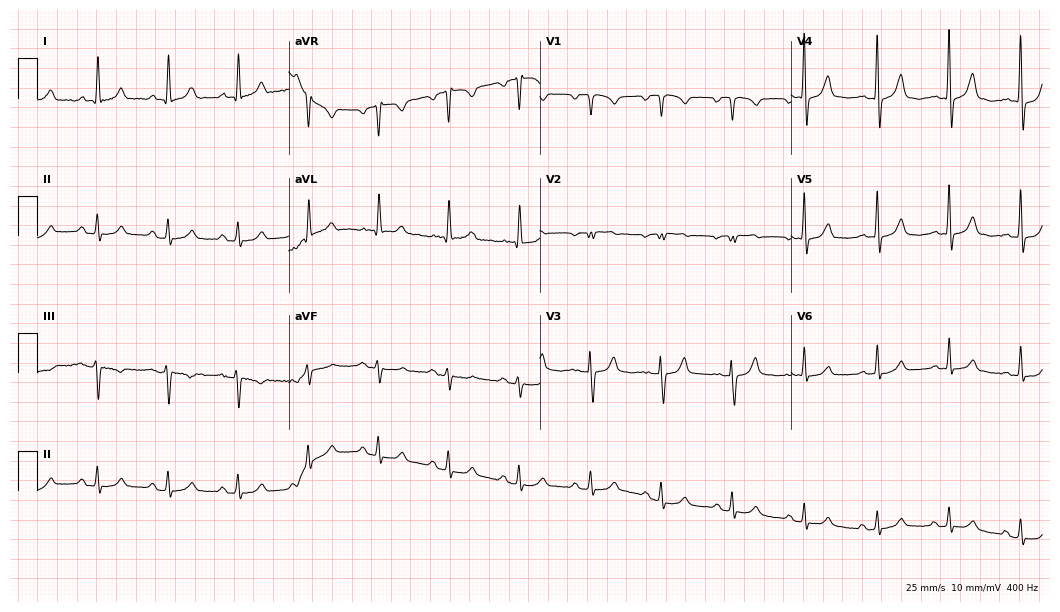
Standard 12-lead ECG recorded from a 77-year-old female patient (10.2-second recording at 400 Hz). None of these six findings is recorded: first-degree AV block, right bundle branch block, left bundle branch block, sinus bradycardia, atrial fibrillation, sinus tachycardia.